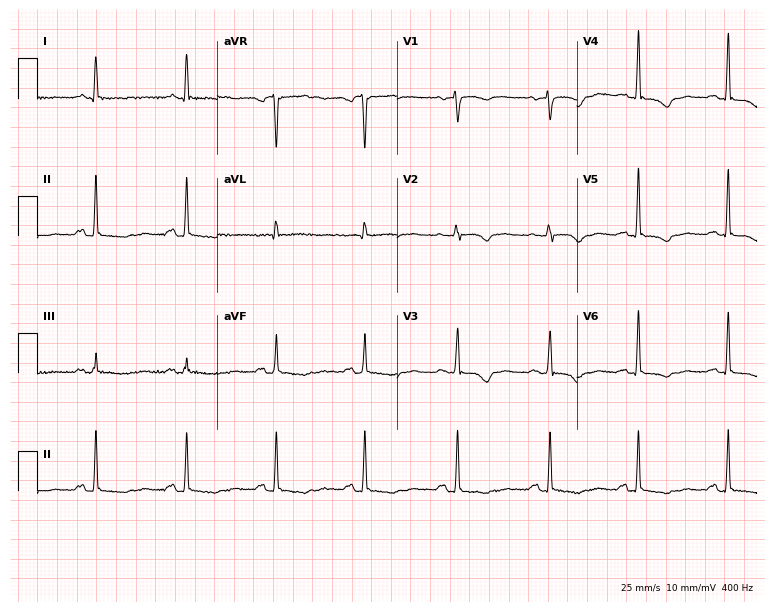
Electrocardiogram, a 64-year-old female. Of the six screened findings (first-degree AV block, right bundle branch block (RBBB), left bundle branch block (LBBB), sinus bradycardia, atrial fibrillation (AF), sinus tachycardia), none is recorded. Findings outside these six are not listed.